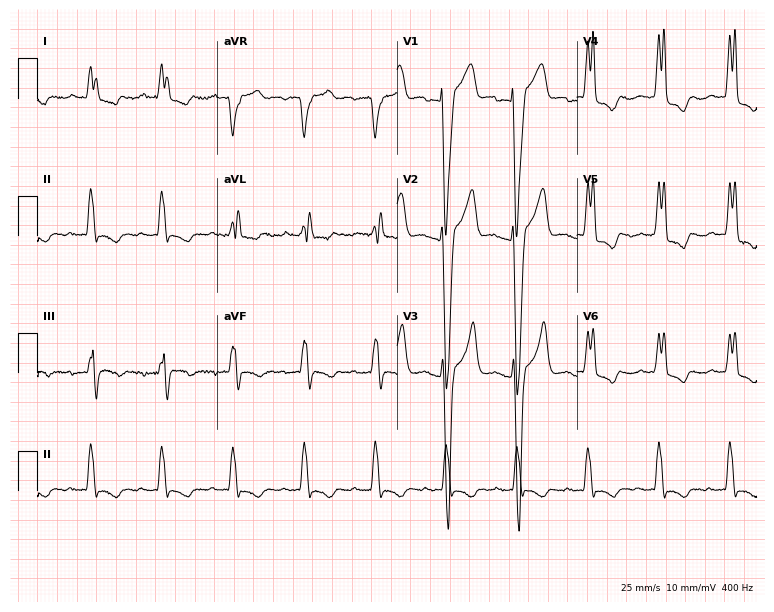
12-lead ECG from a 77-year-old woman. Shows left bundle branch block (LBBB).